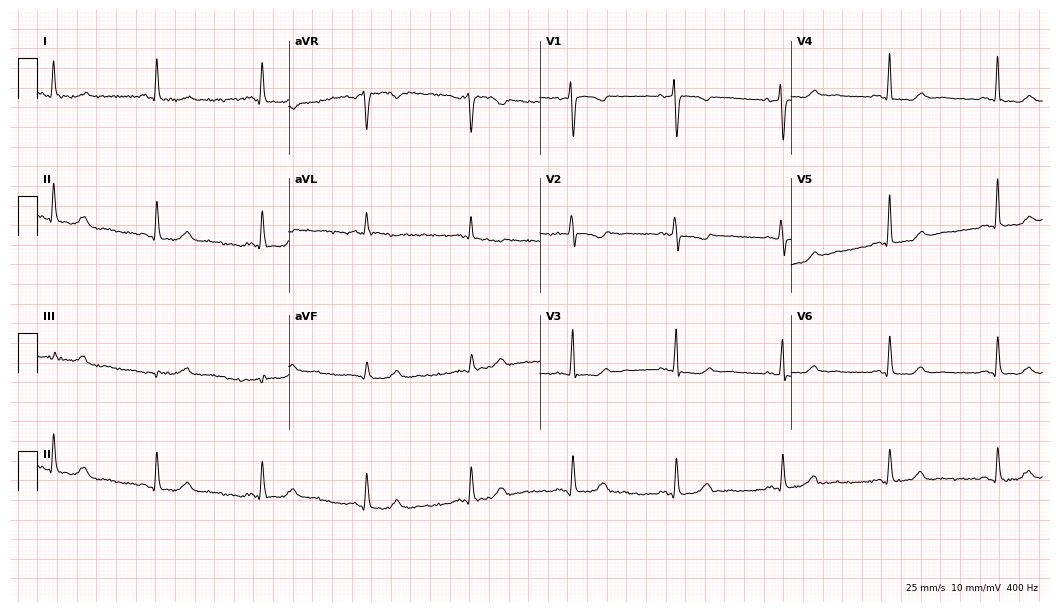
12-lead ECG (10.2-second recording at 400 Hz) from a 64-year-old female patient. Screened for six findings — first-degree AV block, right bundle branch block, left bundle branch block, sinus bradycardia, atrial fibrillation, sinus tachycardia — none is recorded.